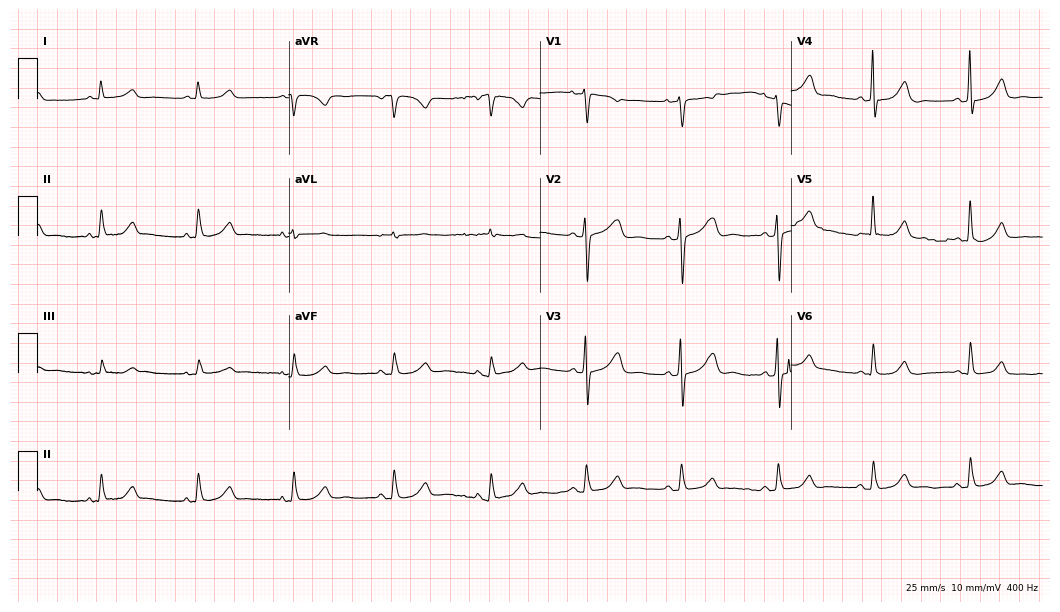
Resting 12-lead electrocardiogram. Patient: a female, 58 years old. Read as a normal ECG.